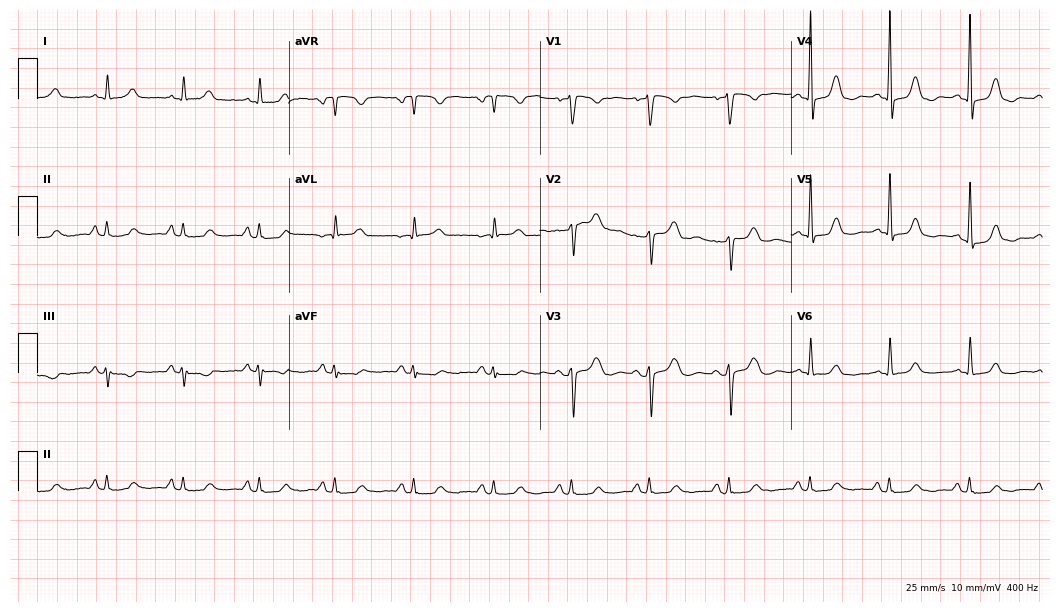
12-lead ECG from a female, 58 years old (10.2-second recording at 400 Hz). Recorded interpretation: within normal limits.